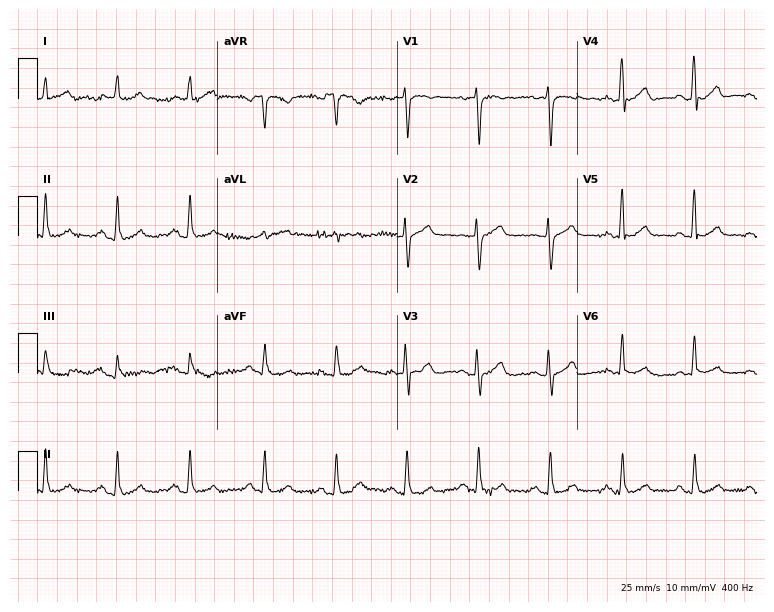
Standard 12-lead ECG recorded from a female patient, 64 years old. None of these six findings is recorded: first-degree AV block, right bundle branch block (RBBB), left bundle branch block (LBBB), sinus bradycardia, atrial fibrillation (AF), sinus tachycardia.